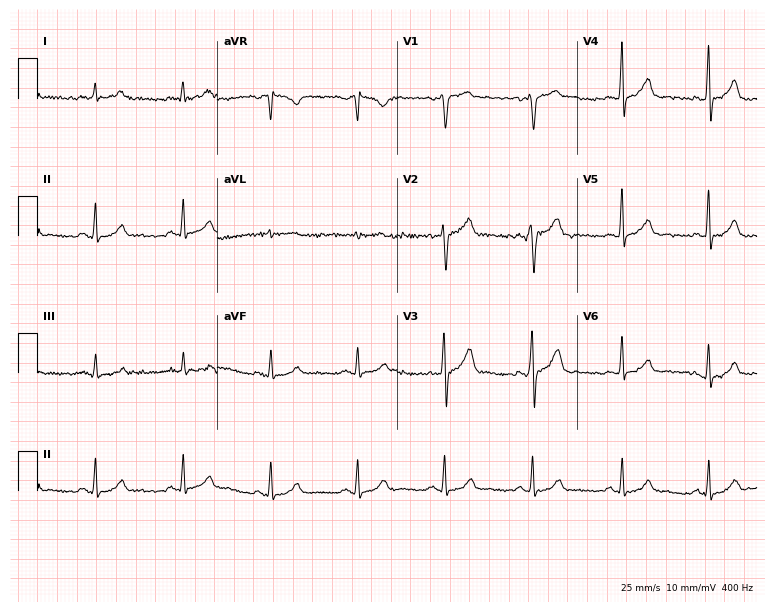
Electrocardiogram (7.3-second recording at 400 Hz), a 44-year-old male patient. Overall reading on record: normal ECG.